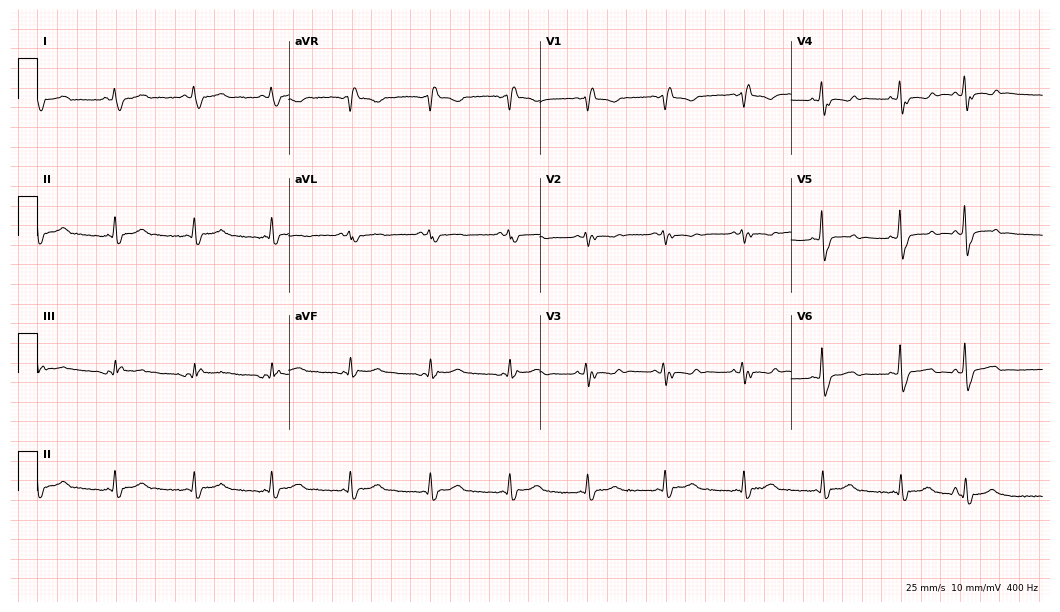
12-lead ECG from a female, 70 years old (10.2-second recording at 400 Hz). Shows right bundle branch block.